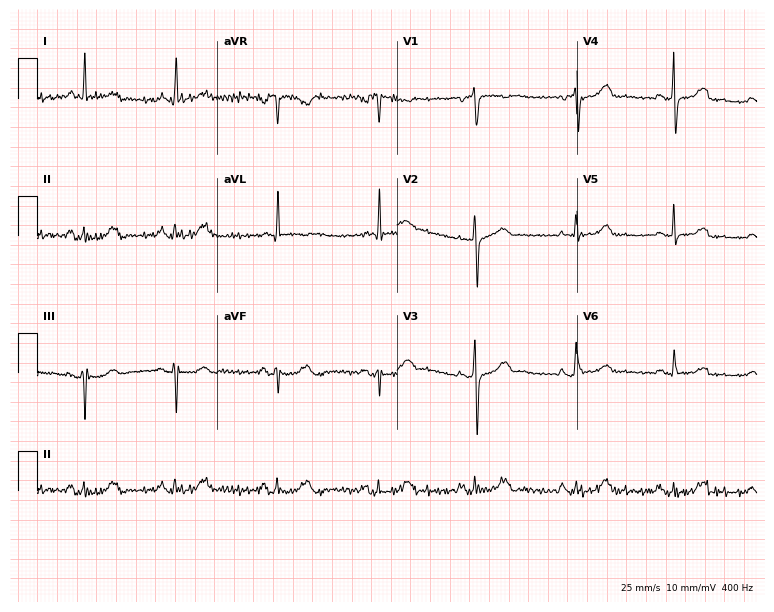
Standard 12-lead ECG recorded from a female, 72 years old (7.3-second recording at 400 Hz). Read as a normal ECG.